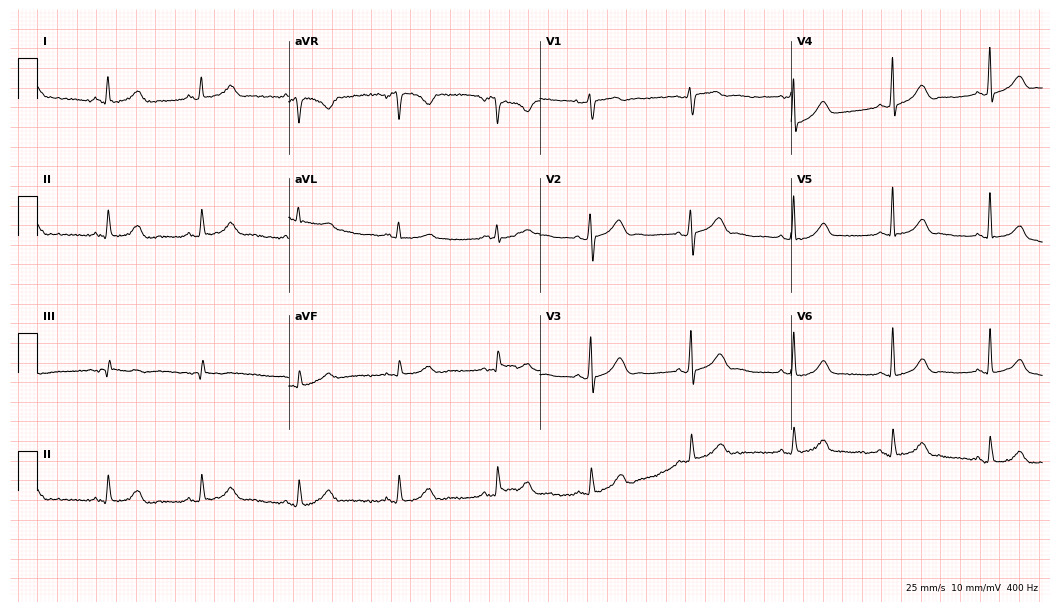
Standard 12-lead ECG recorded from a 38-year-old female. Read as a normal ECG.